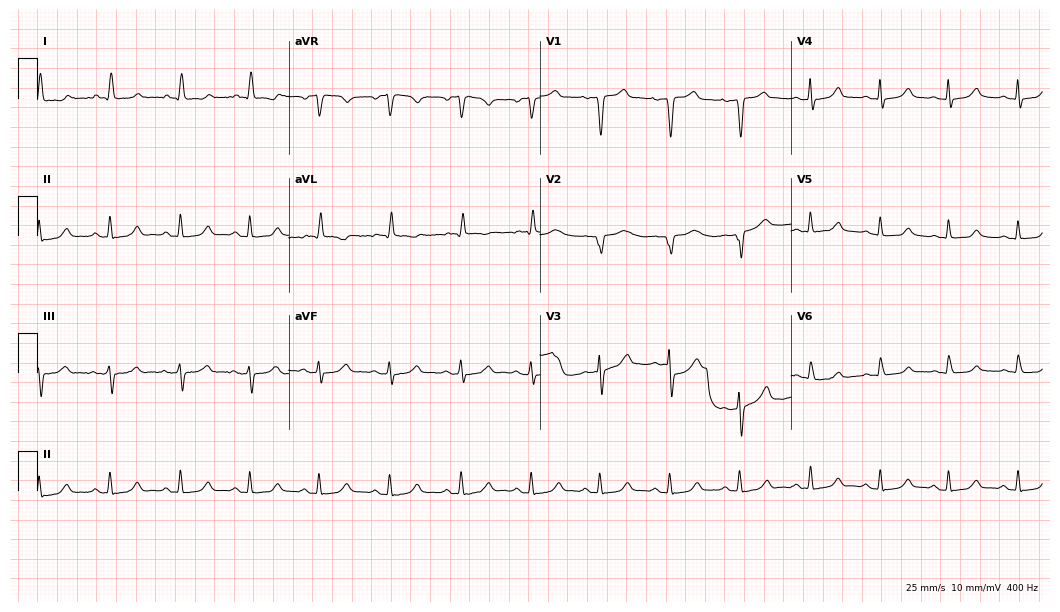
12-lead ECG (10.2-second recording at 400 Hz) from a 69-year-old man. Labelled as a normal ECG.